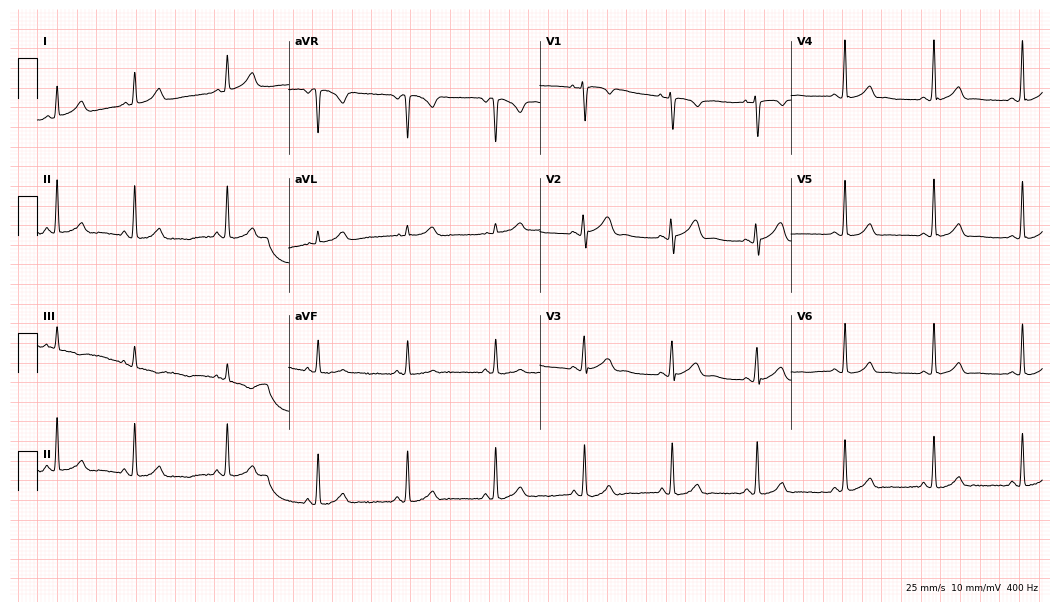
12-lead ECG from a 43-year-old female patient. Screened for six findings — first-degree AV block, right bundle branch block (RBBB), left bundle branch block (LBBB), sinus bradycardia, atrial fibrillation (AF), sinus tachycardia — none is recorded. Only these six findings were labelled.